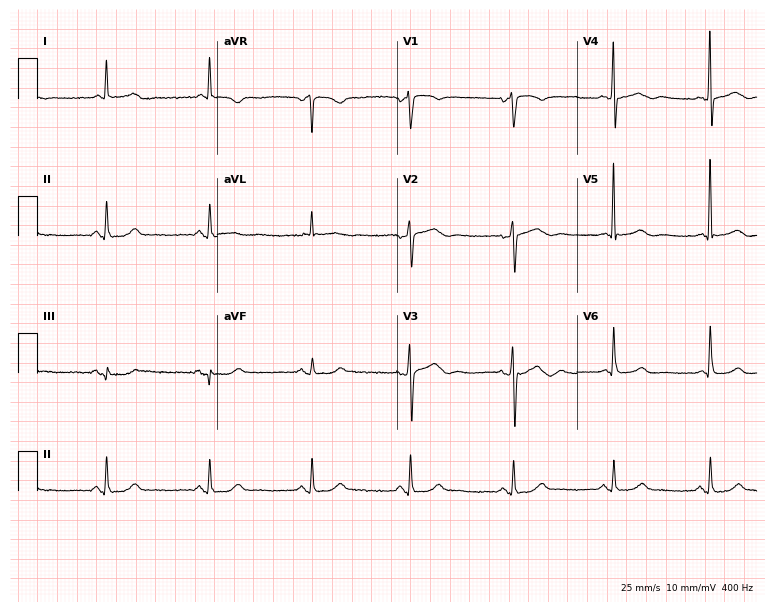
12-lead ECG (7.3-second recording at 400 Hz) from a woman, 74 years old. Screened for six findings — first-degree AV block, right bundle branch block, left bundle branch block, sinus bradycardia, atrial fibrillation, sinus tachycardia — none is recorded.